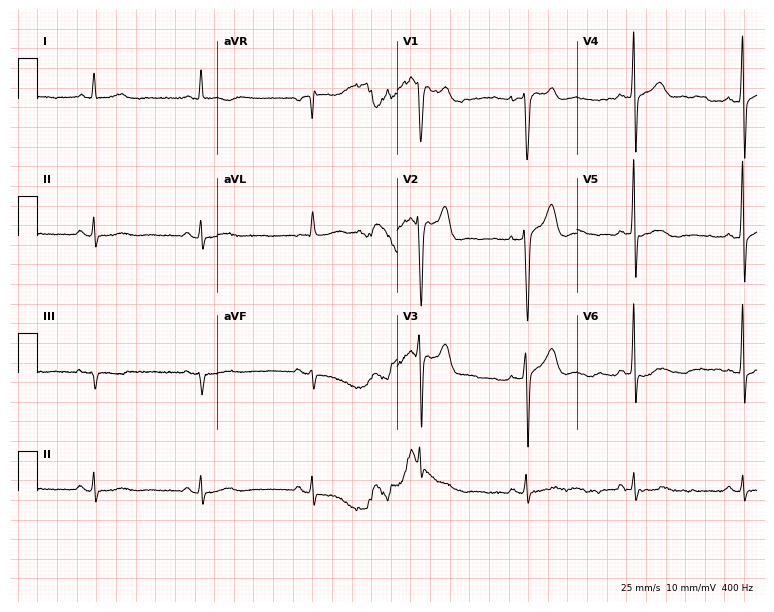
12-lead ECG from a 69-year-old male patient (7.3-second recording at 400 Hz). No first-degree AV block, right bundle branch block (RBBB), left bundle branch block (LBBB), sinus bradycardia, atrial fibrillation (AF) or sinus tachycardia recorded for this tracing. Findings outside these six are not listed.